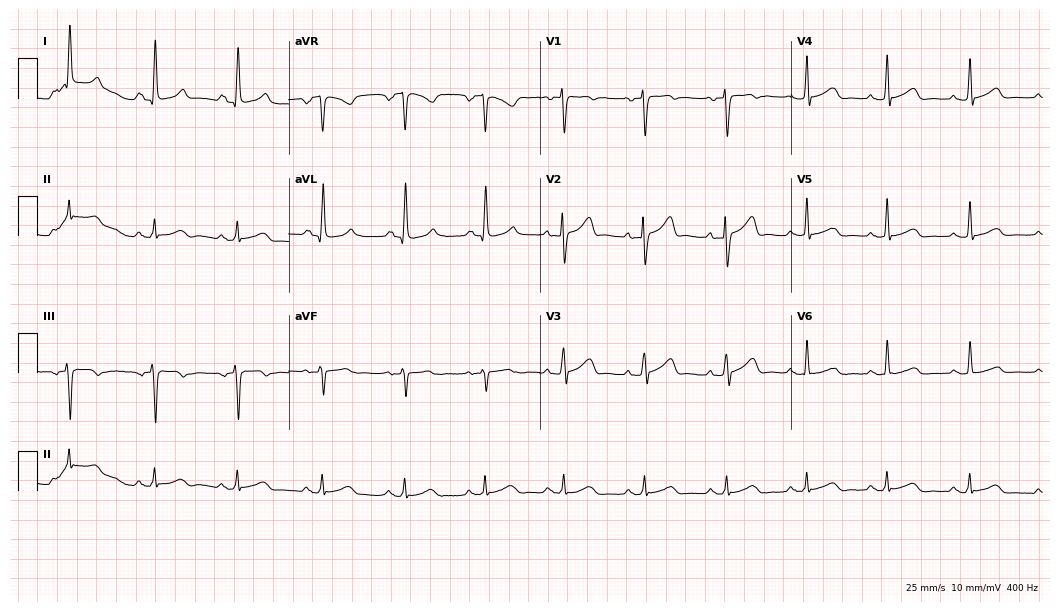
ECG (10.2-second recording at 400 Hz) — a male, 49 years old. Labelled as a normal ECG.